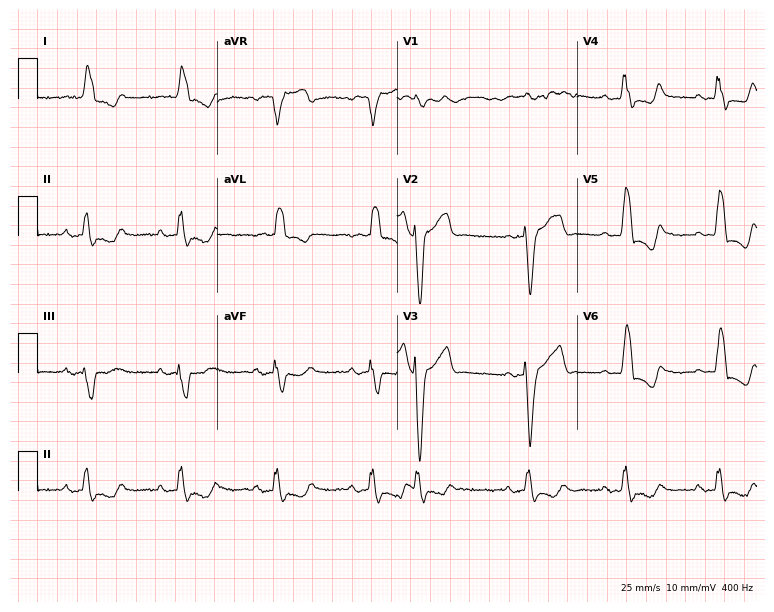
12-lead ECG from an 81-year-old female (7.3-second recording at 400 Hz). Shows left bundle branch block.